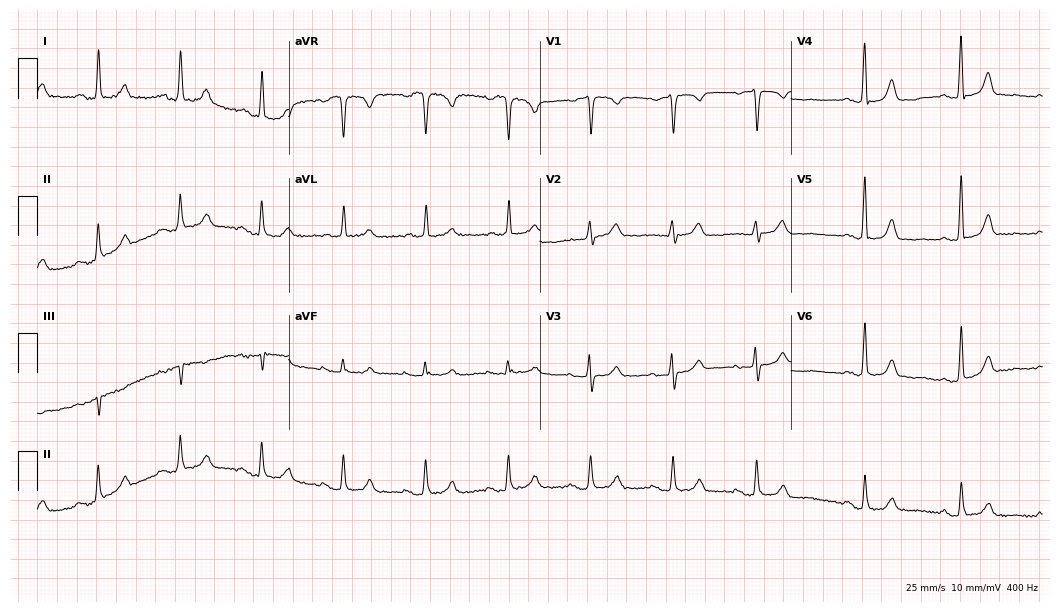
12-lead ECG from a female, 81 years old. Labelled as a normal ECG.